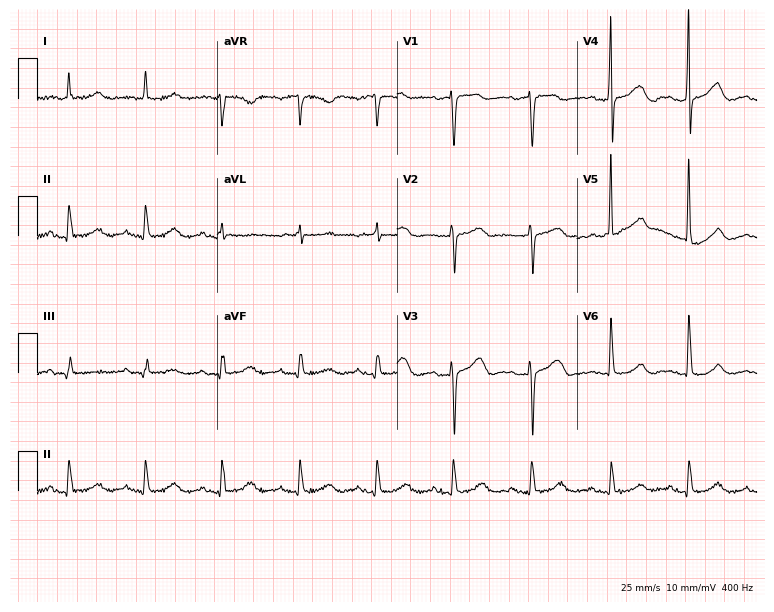
12-lead ECG from a female patient, 76 years old. Recorded interpretation: within normal limits.